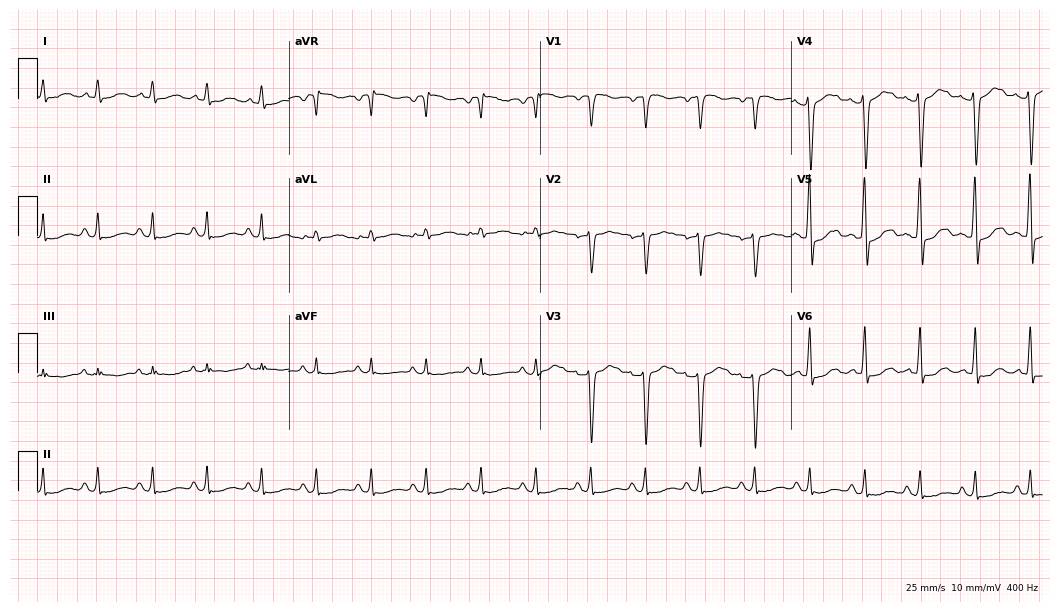
12-lead ECG (10.2-second recording at 400 Hz) from a man, 57 years old. Findings include sinus tachycardia (a sinus rate of 100 beats per minute or more).